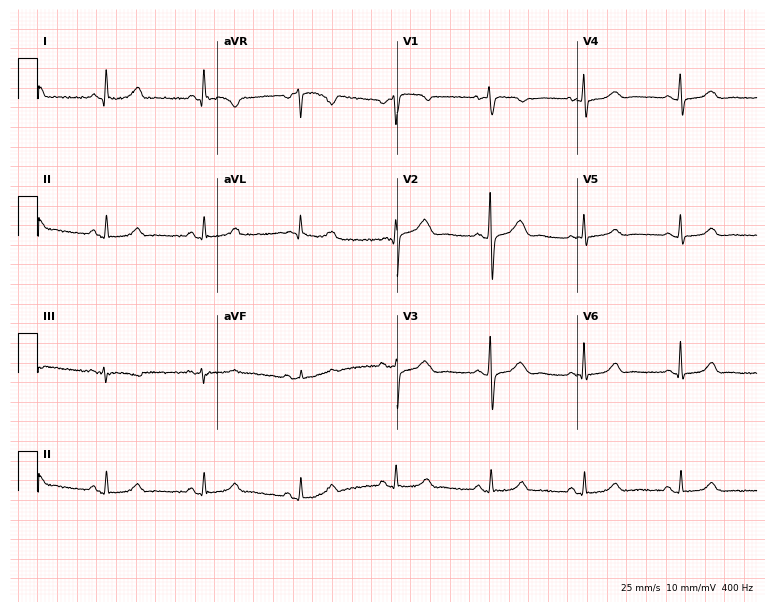
Standard 12-lead ECG recorded from a 53-year-old woman. Read as a normal ECG.